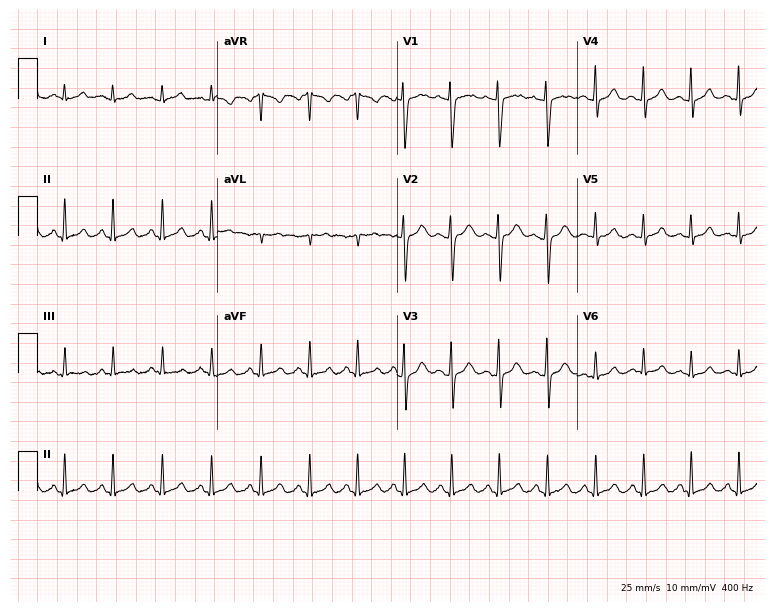
Resting 12-lead electrocardiogram (7.3-second recording at 400 Hz). Patient: a woman, 20 years old. None of these six findings is recorded: first-degree AV block, right bundle branch block, left bundle branch block, sinus bradycardia, atrial fibrillation, sinus tachycardia.